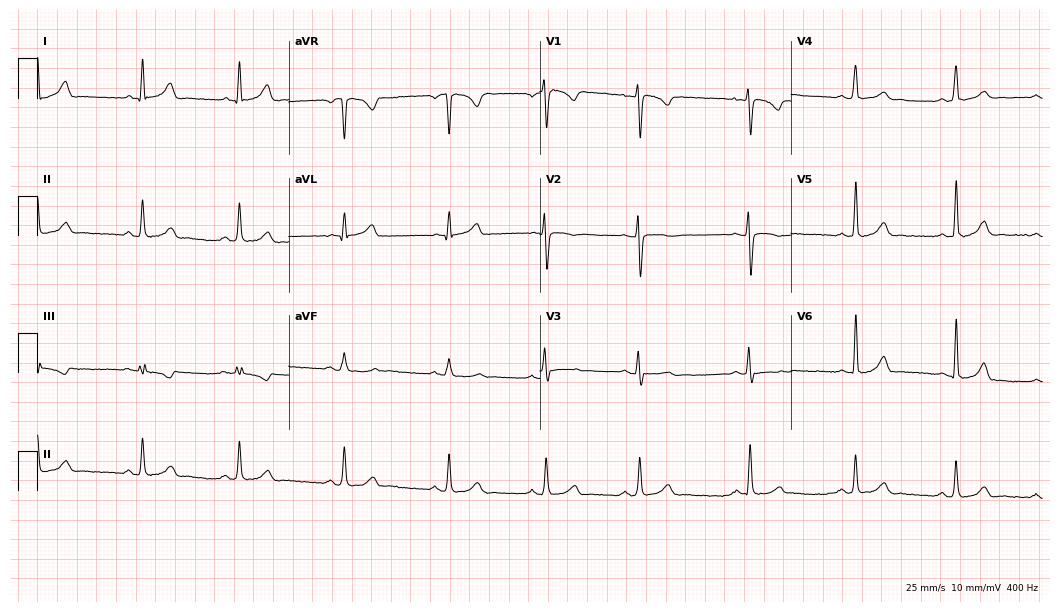
Electrocardiogram (10.2-second recording at 400 Hz), a 23-year-old female. Of the six screened findings (first-degree AV block, right bundle branch block, left bundle branch block, sinus bradycardia, atrial fibrillation, sinus tachycardia), none is recorded.